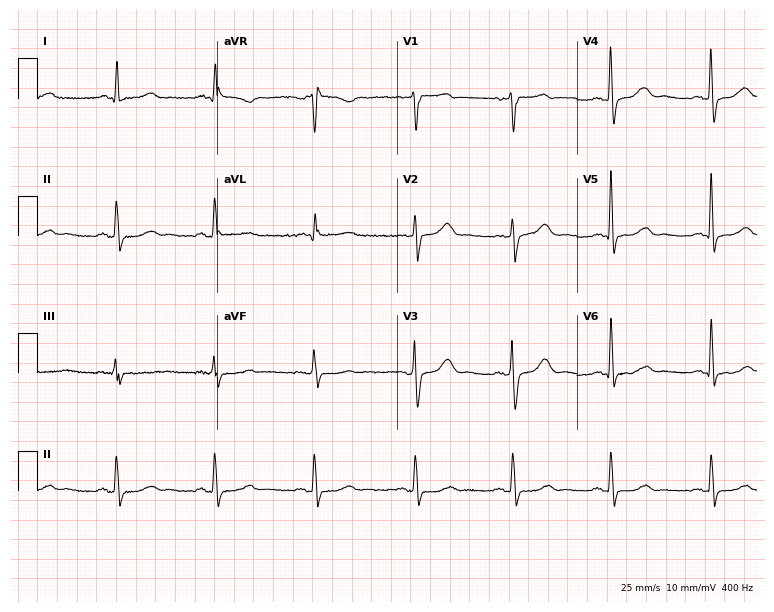
12-lead ECG from a 72-year-old male (7.3-second recording at 400 Hz). No first-degree AV block, right bundle branch block (RBBB), left bundle branch block (LBBB), sinus bradycardia, atrial fibrillation (AF) or sinus tachycardia recorded for this tracing. Other findings, if any, are not listed.